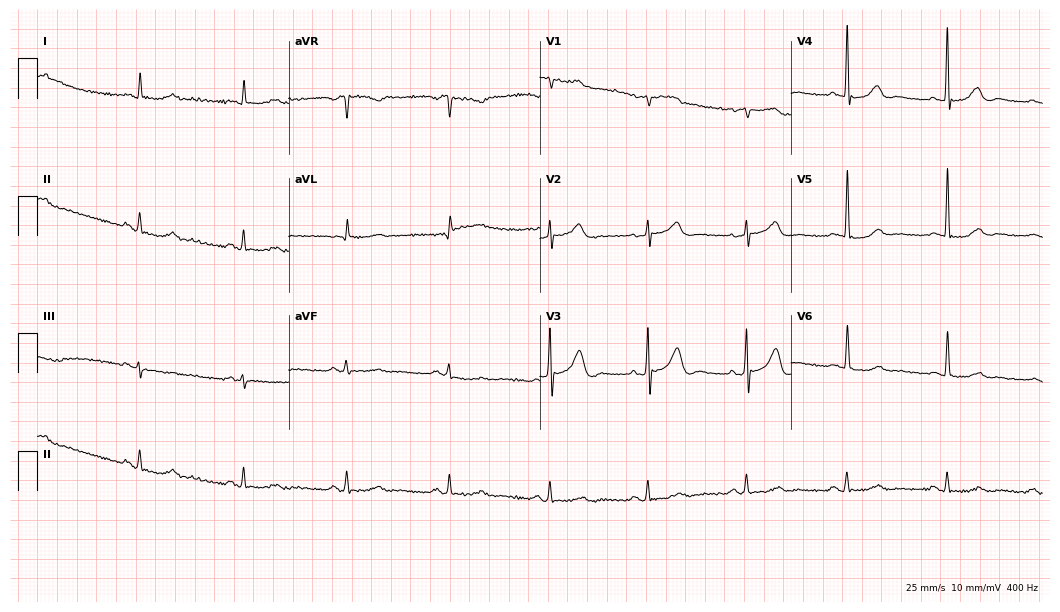
Standard 12-lead ECG recorded from an 80-year-old man (10.2-second recording at 400 Hz). None of these six findings is recorded: first-degree AV block, right bundle branch block, left bundle branch block, sinus bradycardia, atrial fibrillation, sinus tachycardia.